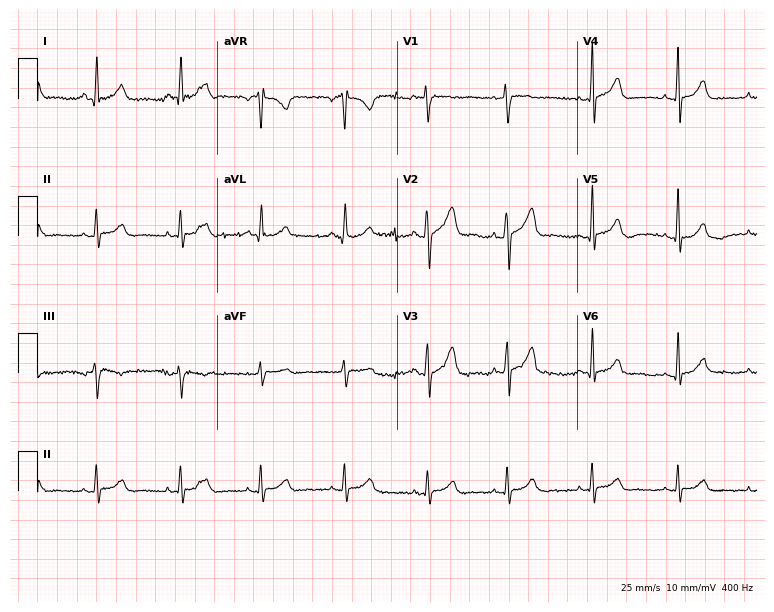
ECG — a 32-year-old female. Screened for six findings — first-degree AV block, right bundle branch block, left bundle branch block, sinus bradycardia, atrial fibrillation, sinus tachycardia — none is recorded. Only these six findings were labelled.